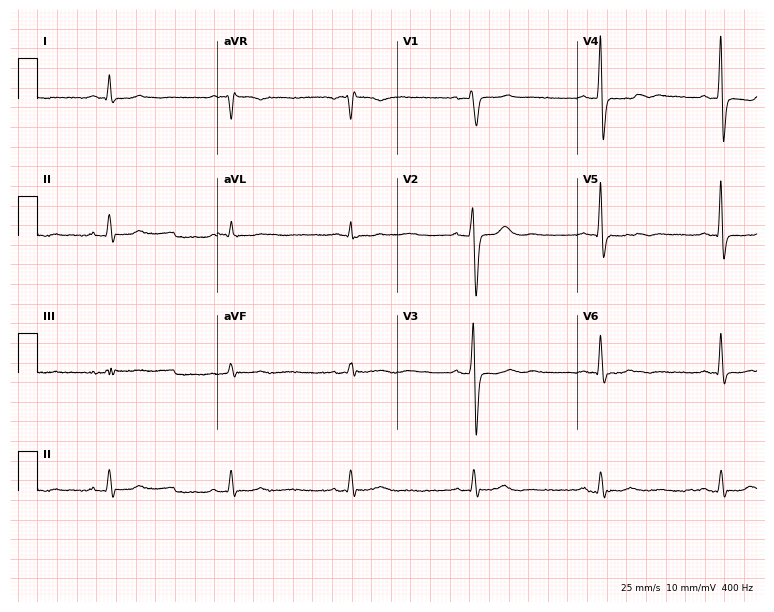
12-lead ECG from a 57-year-old male patient. No first-degree AV block, right bundle branch block (RBBB), left bundle branch block (LBBB), sinus bradycardia, atrial fibrillation (AF) or sinus tachycardia recorded for this tracing.